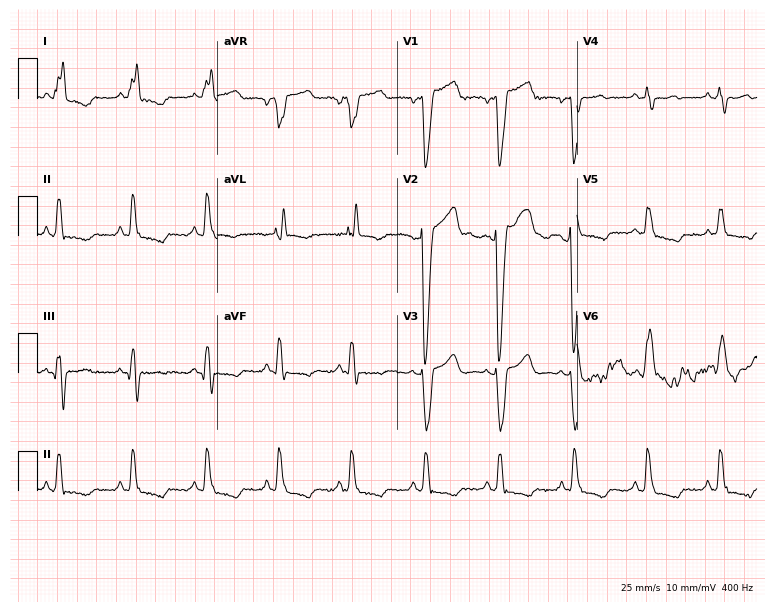
ECG (7.3-second recording at 400 Hz) — an 88-year-old female patient. Screened for six findings — first-degree AV block, right bundle branch block (RBBB), left bundle branch block (LBBB), sinus bradycardia, atrial fibrillation (AF), sinus tachycardia — none is recorded. Findings outside these six are not listed.